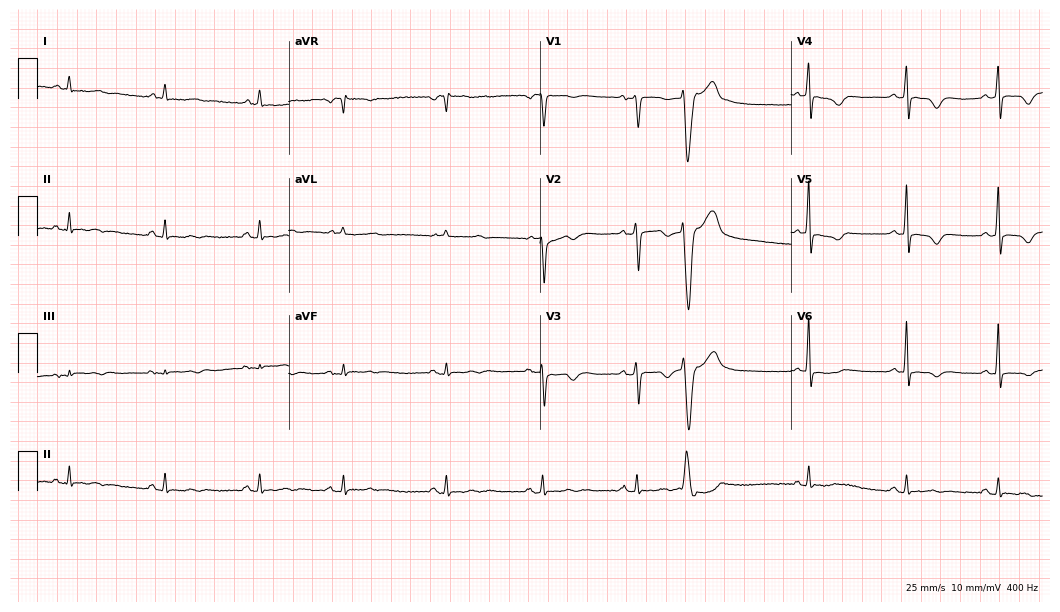
ECG — a female, 85 years old. Screened for six findings — first-degree AV block, right bundle branch block, left bundle branch block, sinus bradycardia, atrial fibrillation, sinus tachycardia — none is recorded.